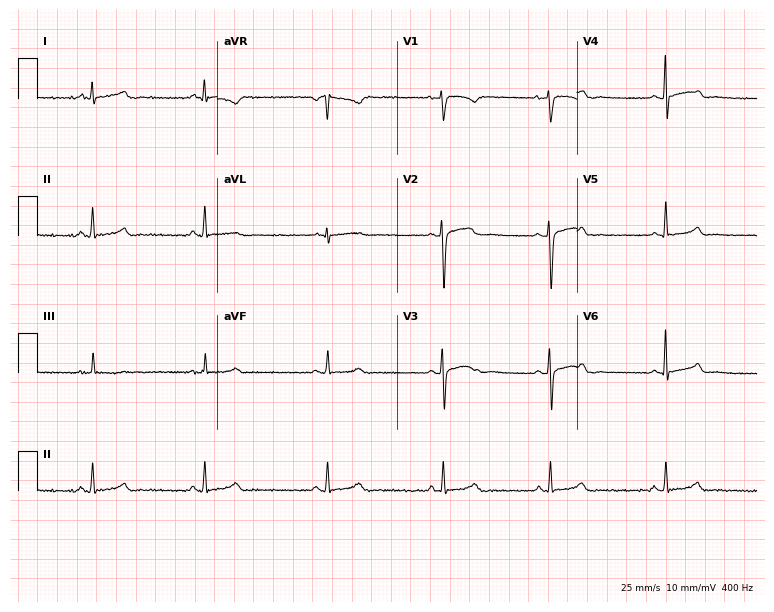
ECG (7.3-second recording at 400 Hz) — a 33-year-old woman. Screened for six findings — first-degree AV block, right bundle branch block (RBBB), left bundle branch block (LBBB), sinus bradycardia, atrial fibrillation (AF), sinus tachycardia — none is recorded.